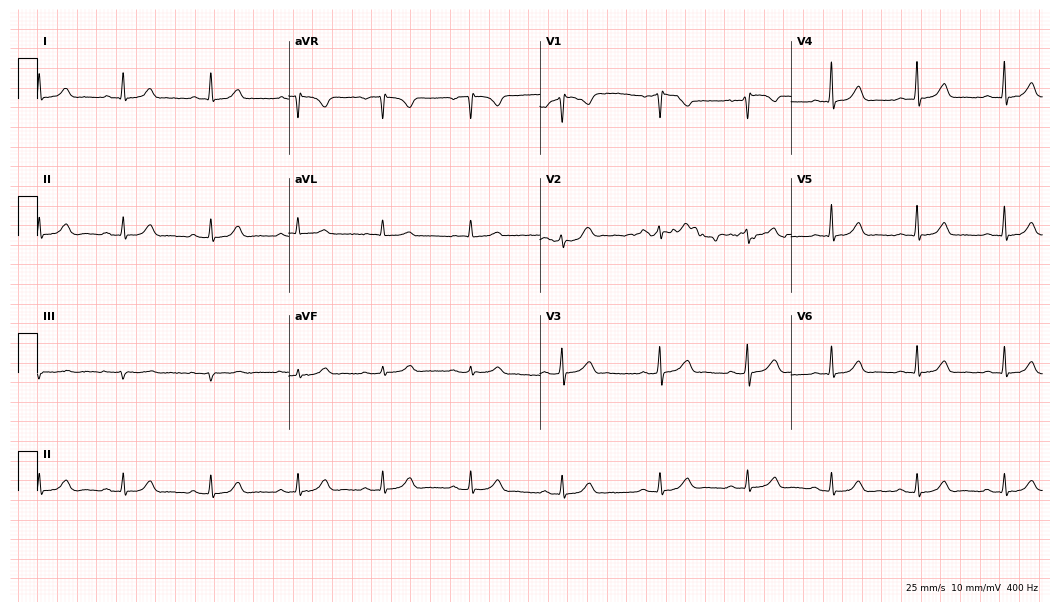
Electrocardiogram, a female, 32 years old. Overall reading on record: normal ECG.